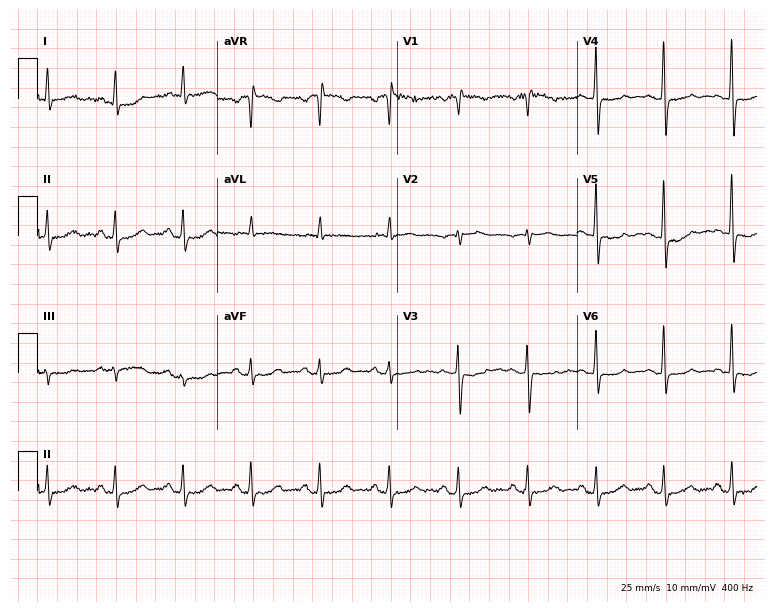
12-lead ECG (7.3-second recording at 400 Hz) from a female, 64 years old. Screened for six findings — first-degree AV block, right bundle branch block, left bundle branch block, sinus bradycardia, atrial fibrillation, sinus tachycardia — none is recorded. Other findings, if any, are not listed.